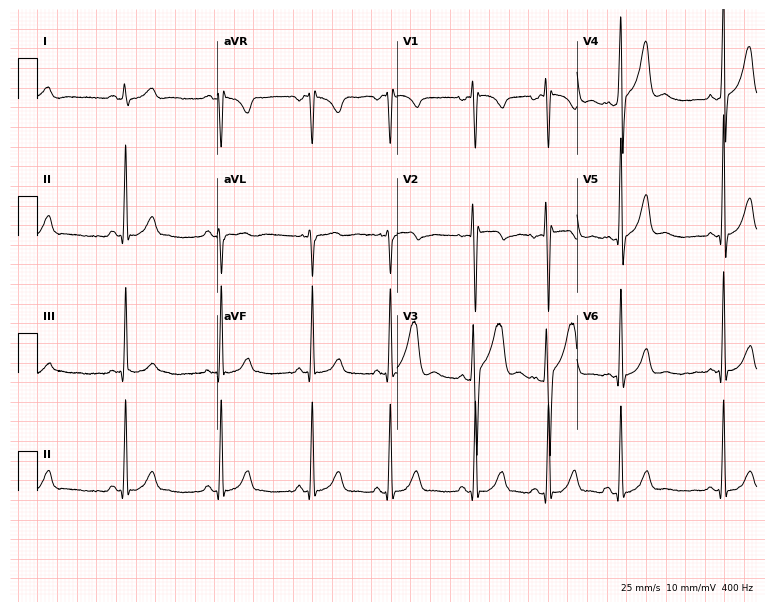
12-lead ECG from a man, 20 years old. Labelled as a normal ECG.